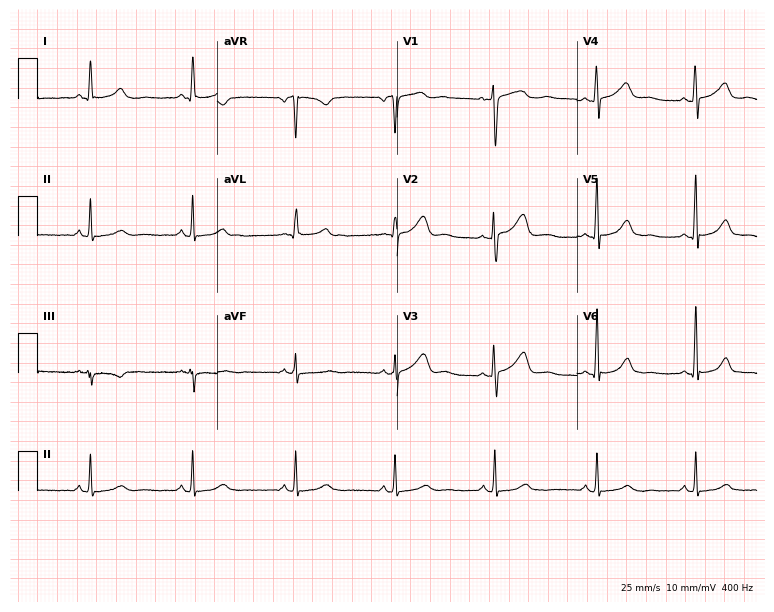
12-lead ECG from a female patient, 39 years old. Recorded interpretation: within normal limits.